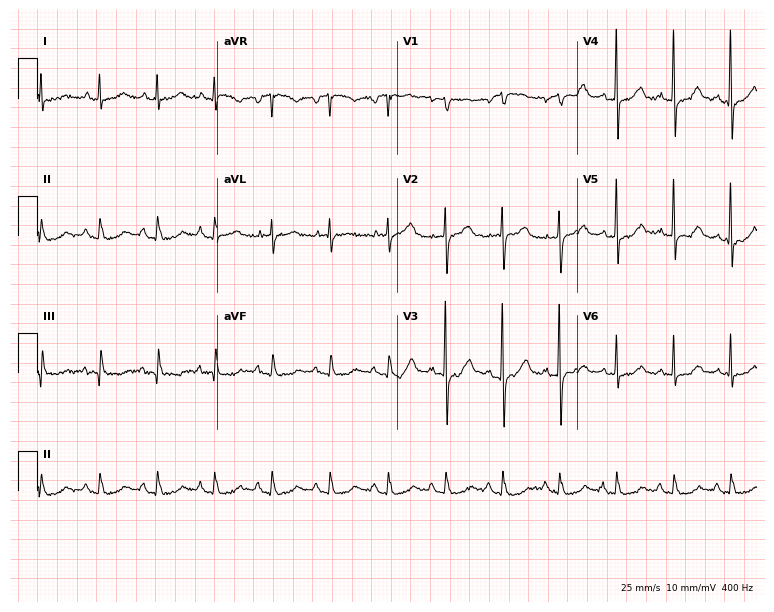
12-lead ECG from a man, 77 years old. Screened for six findings — first-degree AV block, right bundle branch block, left bundle branch block, sinus bradycardia, atrial fibrillation, sinus tachycardia — none is recorded.